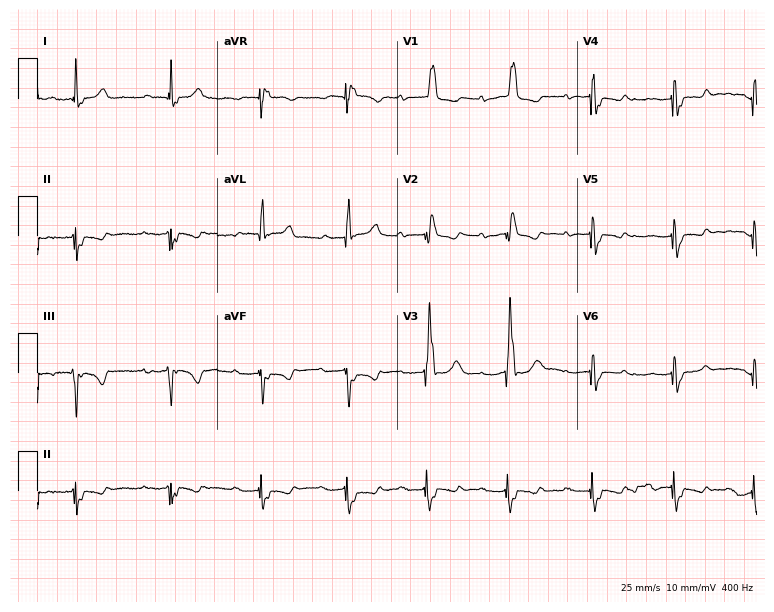
12-lead ECG from a man, 73 years old. No first-degree AV block, right bundle branch block, left bundle branch block, sinus bradycardia, atrial fibrillation or sinus tachycardia recorded for this tracing.